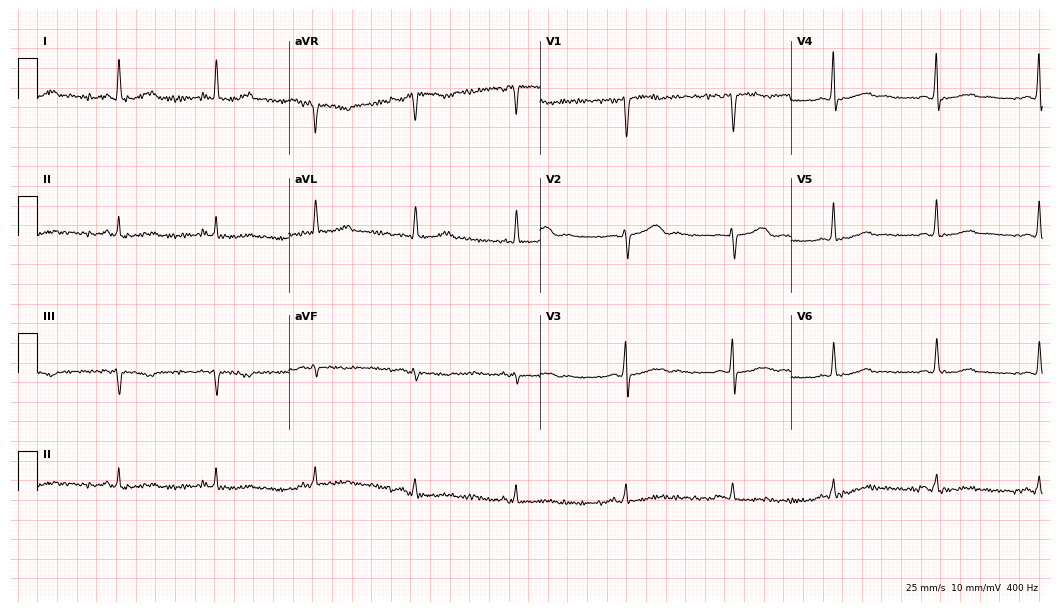
12-lead ECG from a woman, 57 years old (10.2-second recording at 400 Hz). Recorded interpretation: within normal limits.